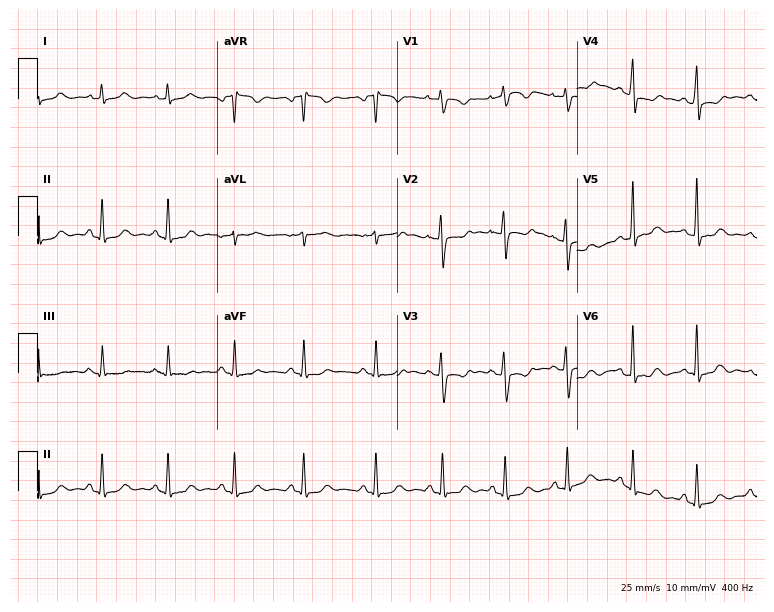
Standard 12-lead ECG recorded from a female, 27 years old (7.3-second recording at 400 Hz). Read as a normal ECG.